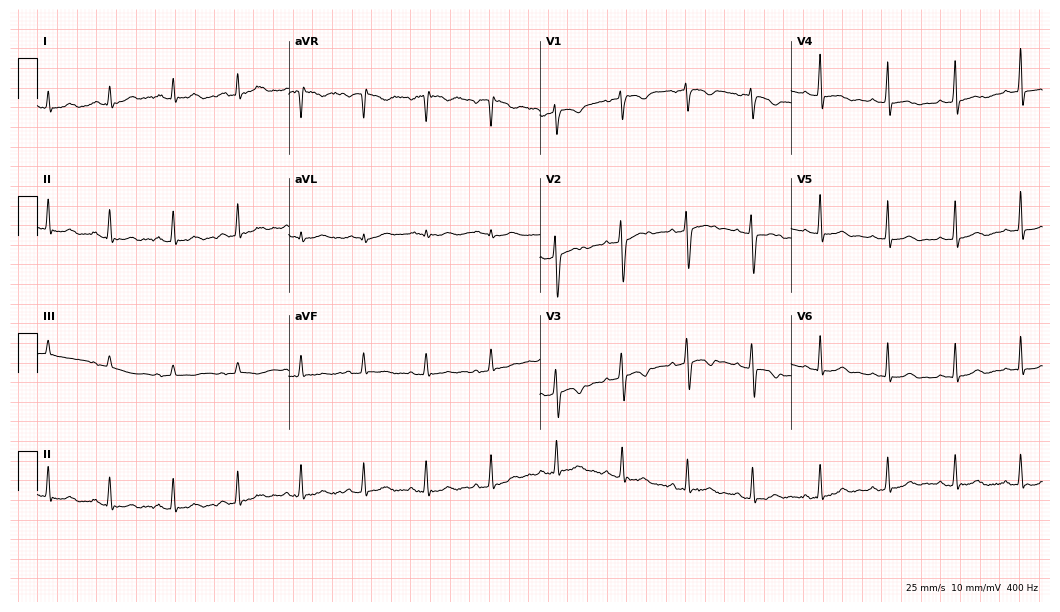
ECG — a female patient, 26 years old. Screened for six findings — first-degree AV block, right bundle branch block, left bundle branch block, sinus bradycardia, atrial fibrillation, sinus tachycardia — none is recorded. Only these six findings were labelled.